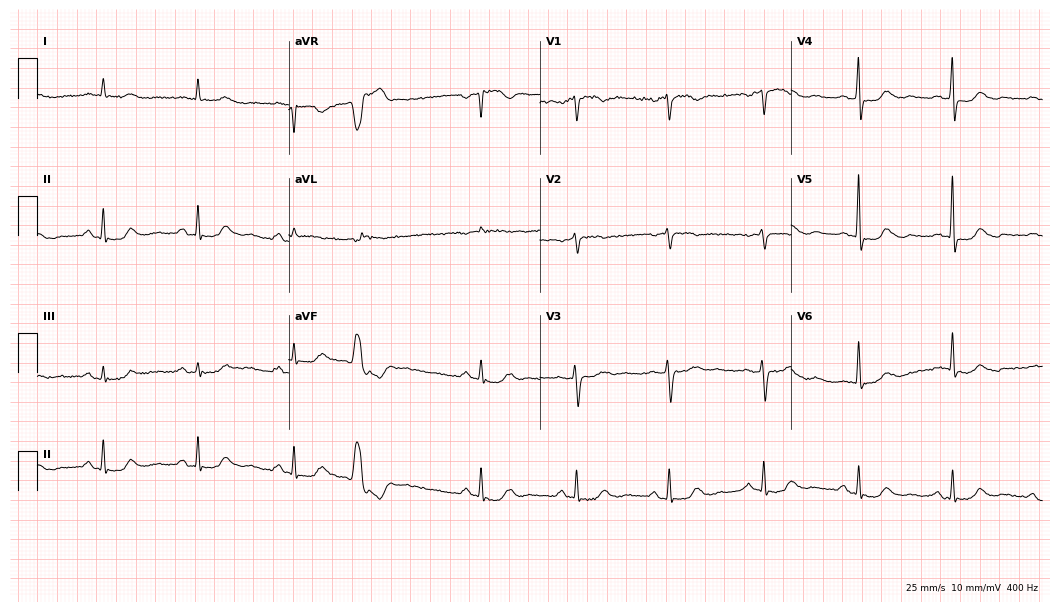
12-lead ECG from a male, 78 years old (10.2-second recording at 400 Hz). No first-degree AV block, right bundle branch block, left bundle branch block, sinus bradycardia, atrial fibrillation or sinus tachycardia recorded for this tracing.